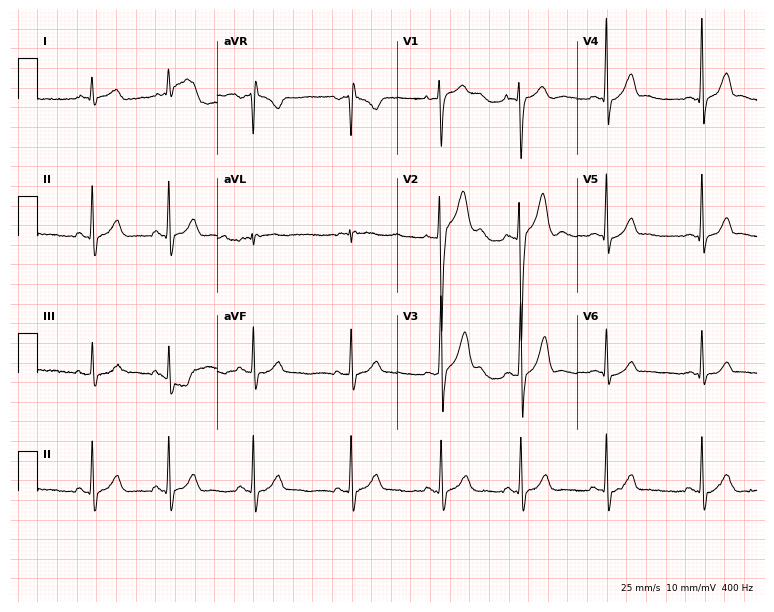
ECG (7.3-second recording at 400 Hz) — a male, 17 years old. Screened for six findings — first-degree AV block, right bundle branch block, left bundle branch block, sinus bradycardia, atrial fibrillation, sinus tachycardia — none is recorded. Findings outside these six are not listed.